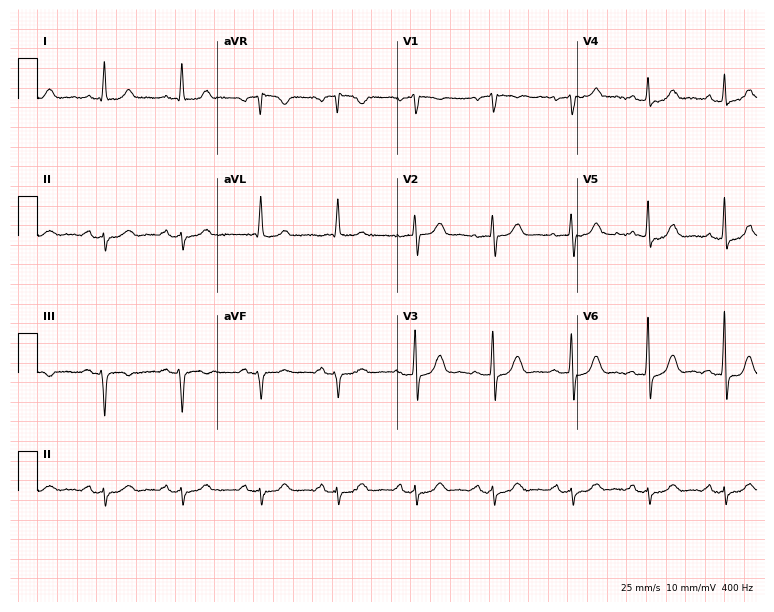
ECG (7.3-second recording at 400 Hz) — a 76-year-old male patient. Screened for six findings — first-degree AV block, right bundle branch block, left bundle branch block, sinus bradycardia, atrial fibrillation, sinus tachycardia — none is recorded. Findings outside these six are not listed.